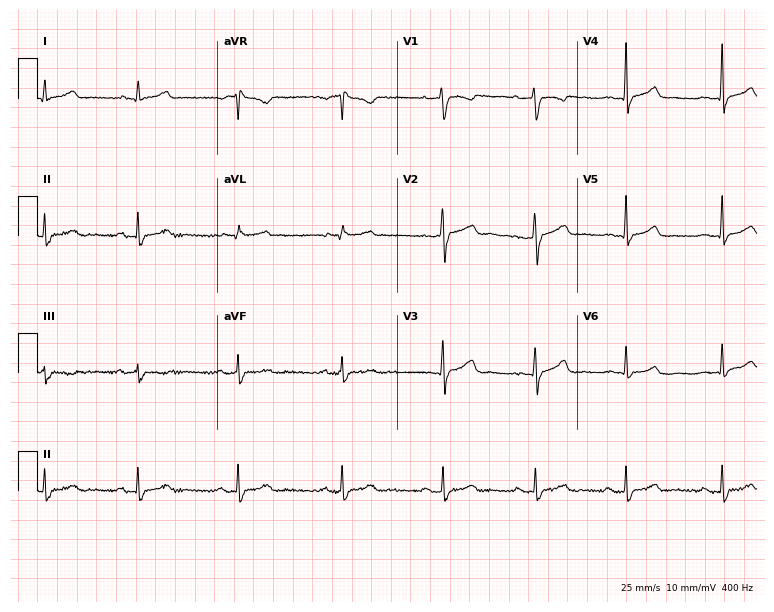
Standard 12-lead ECG recorded from a female, 27 years old. Read as a normal ECG.